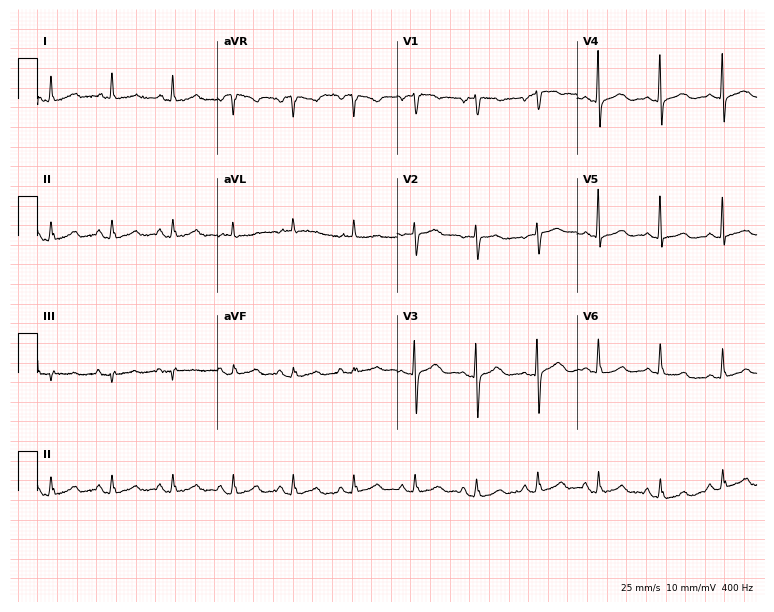
ECG (7.3-second recording at 400 Hz) — an 81-year-old woman. Labelled as a normal ECG.